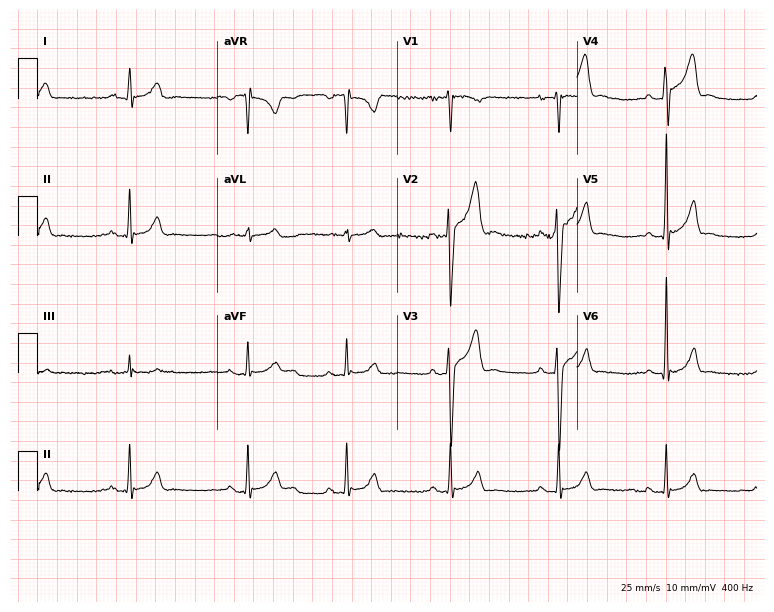
ECG — a 20-year-old male patient. Screened for six findings — first-degree AV block, right bundle branch block (RBBB), left bundle branch block (LBBB), sinus bradycardia, atrial fibrillation (AF), sinus tachycardia — none is recorded. Only these six findings were labelled.